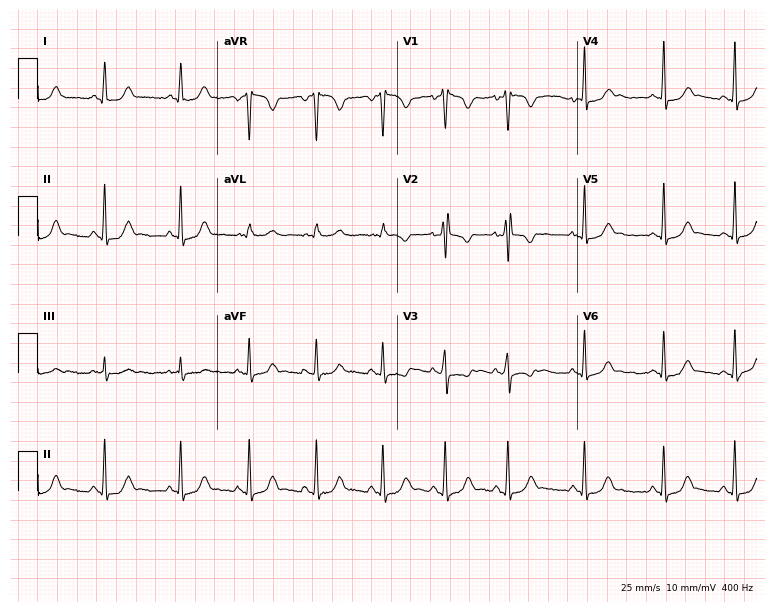
12-lead ECG from a 19-year-old female patient. Screened for six findings — first-degree AV block, right bundle branch block, left bundle branch block, sinus bradycardia, atrial fibrillation, sinus tachycardia — none is recorded.